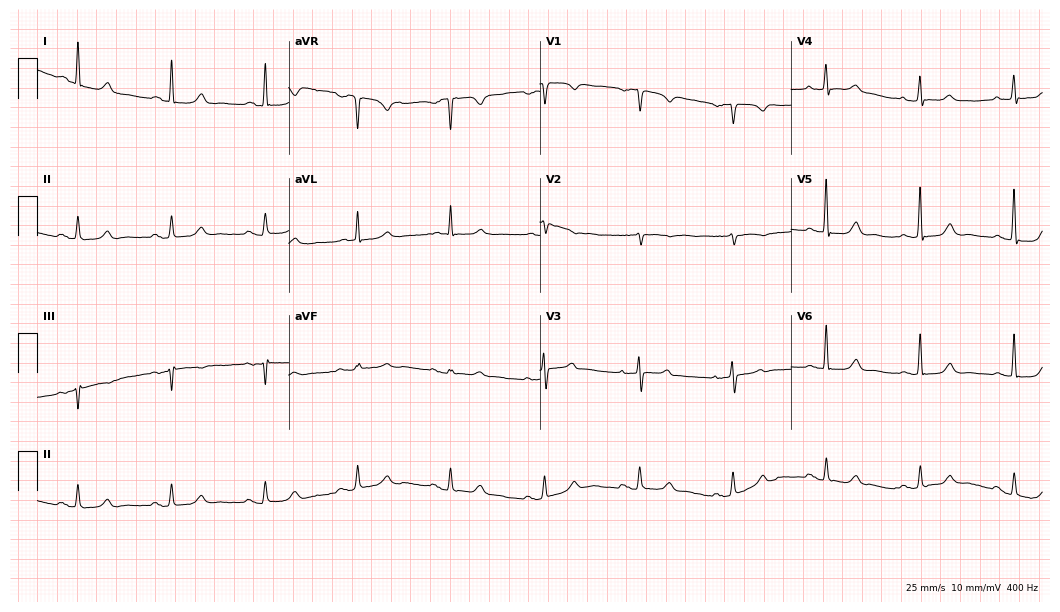
Resting 12-lead electrocardiogram (10.2-second recording at 400 Hz). Patient: an 82-year-old female. None of these six findings is recorded: first-degree AV block, right bundle branch block, left bundle branch block, sinus bradycardia, atrial fibrillation, sinus tachycardia.